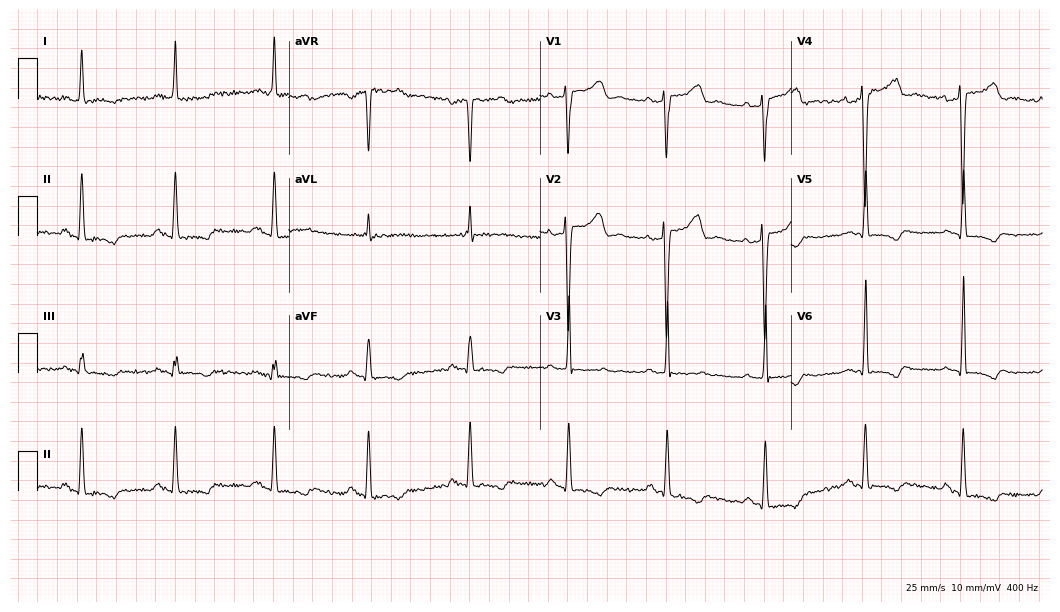
ECG (10.2-second recording at 400 Hz) — a 49-year-old female patient. Screened for six findings — first-degree AV block, right bundle branch block, left bundle branch block, sinus bradycardia, atrial fibrillation, sinus tachycardia — none is recorded.